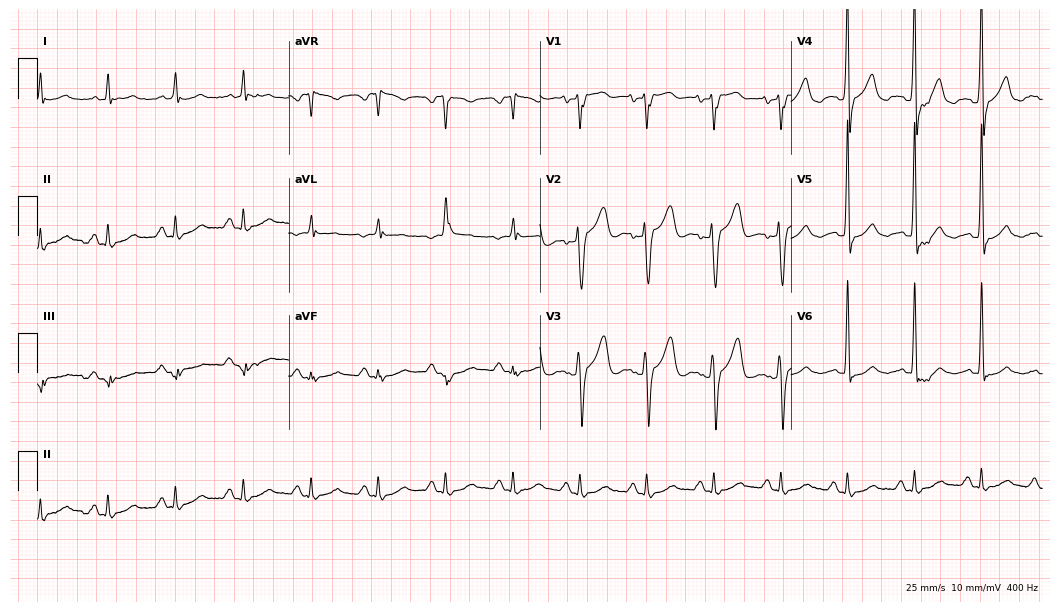
12-lead ECG from a 58-year-old male (10.2-second recording at 400 Hz). No first-degree AV block, right bundle branch block (RBBB), left bundle branch block (LBBB), sinus bradycardia, atrial fibrillation (AF) or sinus tachycardia recorded for this tracing. Only these six findings were labelled.